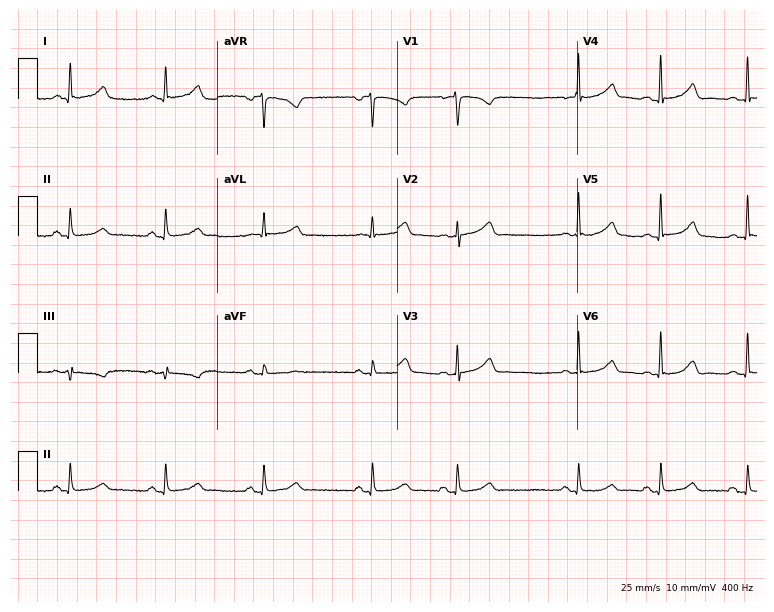
Electrocardiogram (7.3-second recording at 400 Hz), a woman, 35 years old. Overall reading on record: normal ECG.